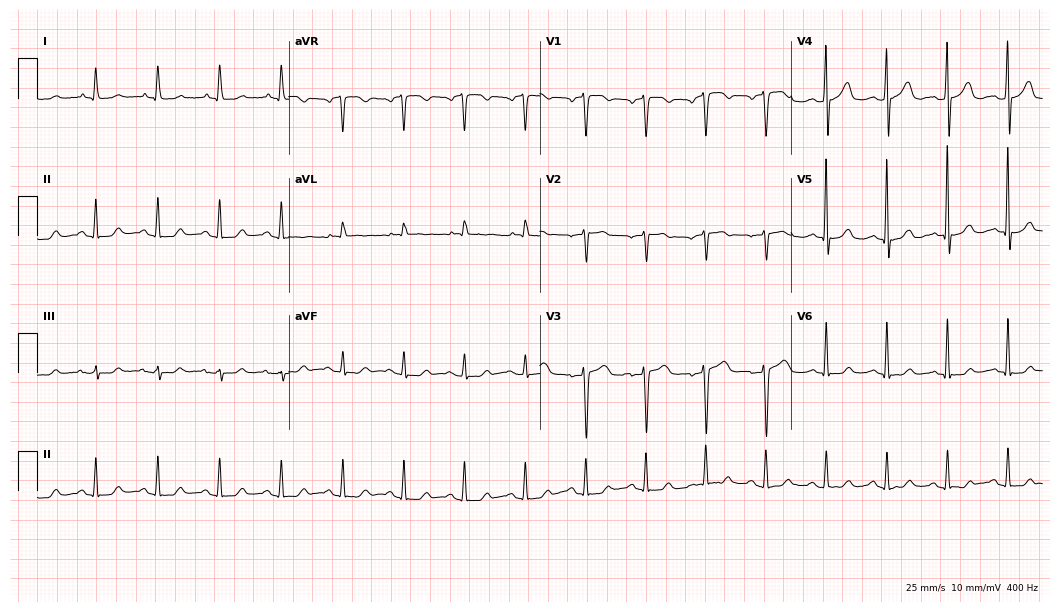
ECG — a 54-year-old female patient. Screened for six findings — first-degree AV block, right bundle branch block (RBBB), left bundle branch block (LBBB), sinus bradycardia, atrial fibrillation (AF), sinus tachycardia — none is recorded.